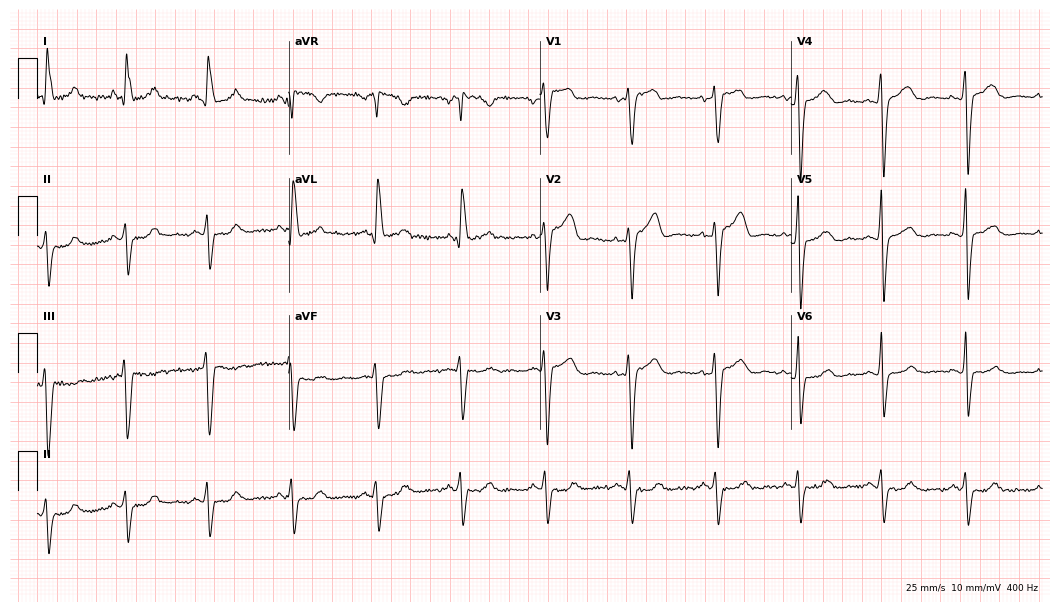
Standard 12-lead ECG recorded from a female, 55 years old (10.2-second recording at 400 Hz). The tracing shows left bundle branch block.